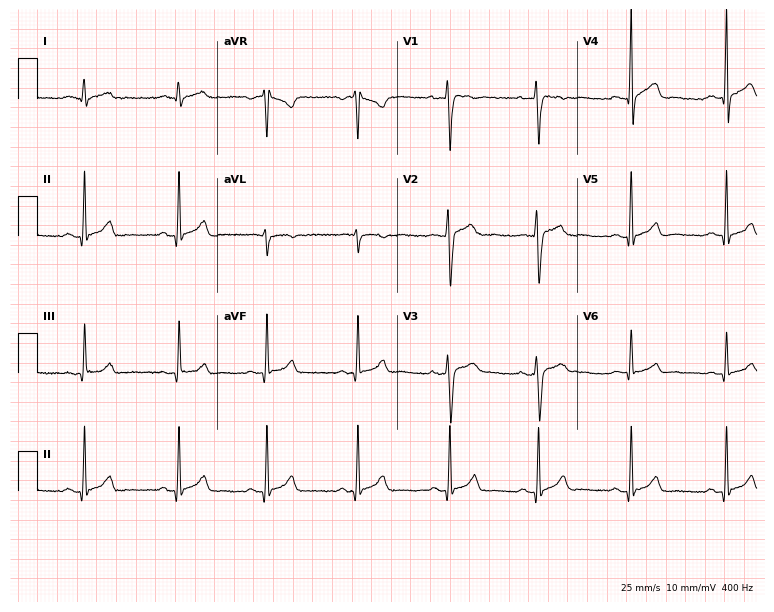
ECG — a 22-year-old male patient. Labelled as a normal ECG.